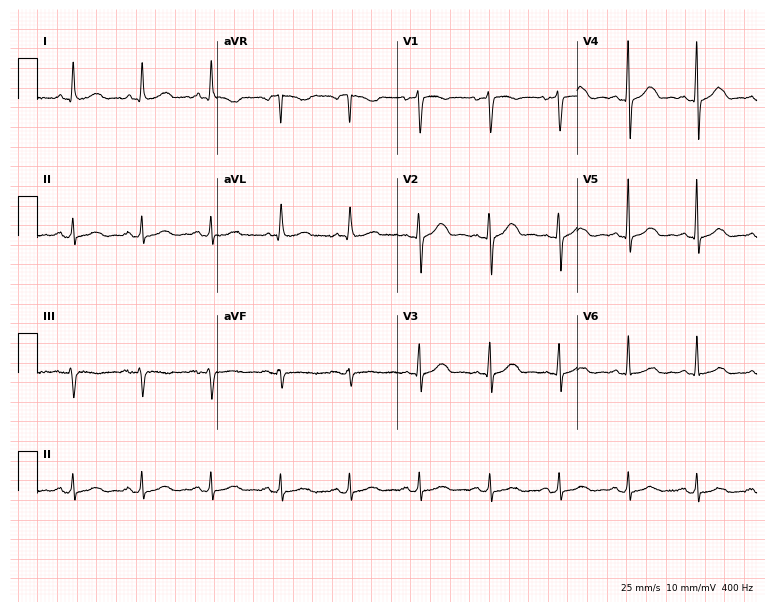
Standard 12-lead ECG recorded from a 75-year-old female patient. Read as a normal ECG.